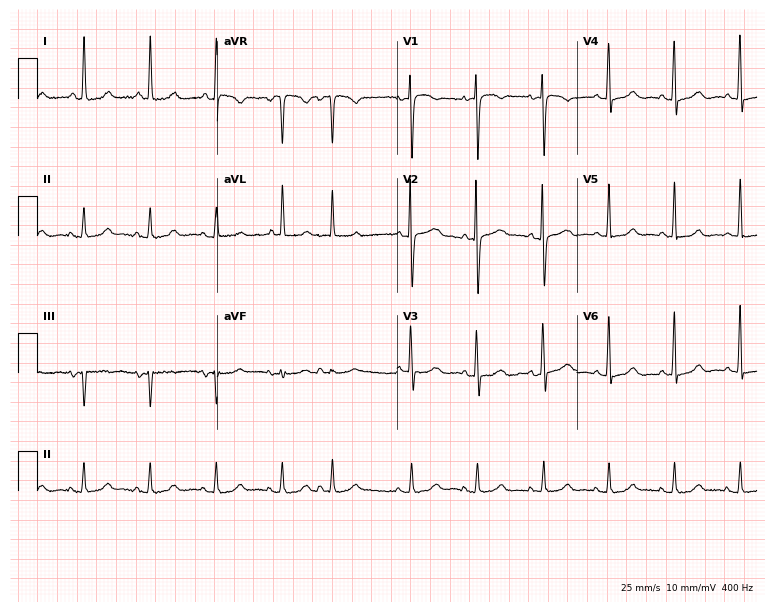
Resting 12-lead electrocardiogram (7.3-second recording at 400 Hz). Patient: an 84-year-old woman. Read as a normal ECG.